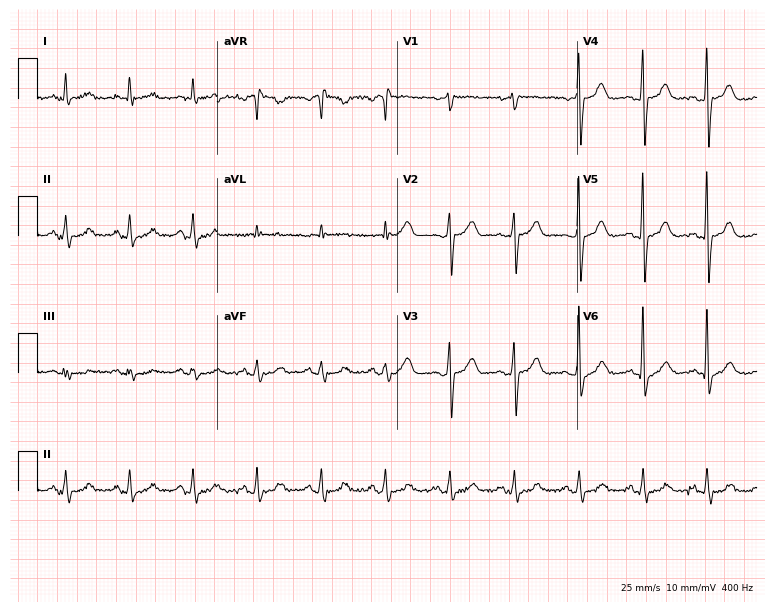
Standard 12-lead ECG recorded from a male patient, 65 years old. None of these six findings is recorded: first-degree AV block, right bundle branch block, left bundle branch block, sinus bradycardia, atrial fibrillation, sinus tachycardia.